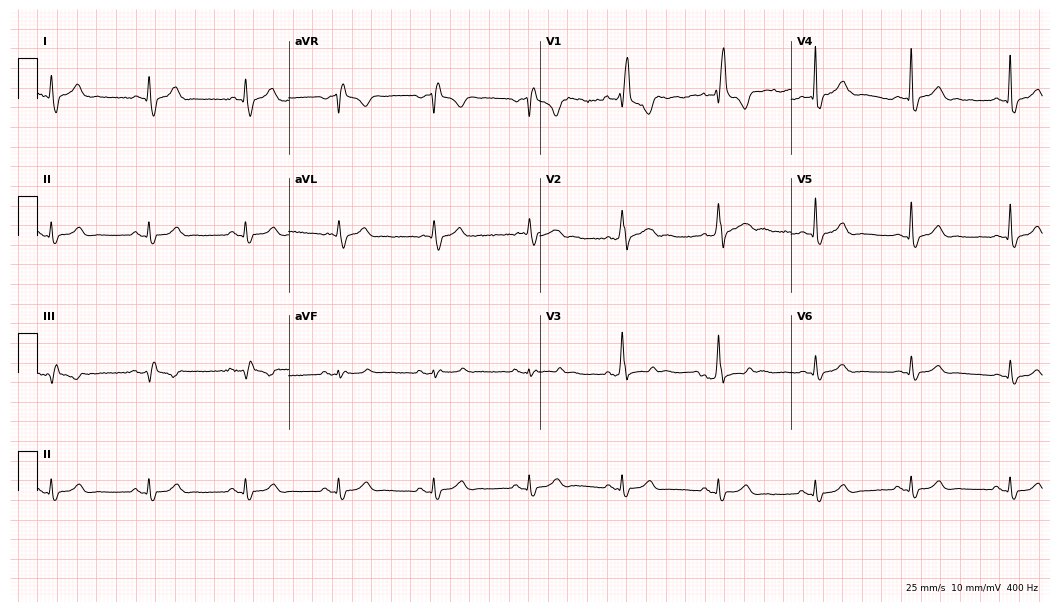
ECG — a male patient, 50 years old. Screened for six findings — first-degree AV block, right bundle branch block (RBBB), left bundle branch block (LBBB), sinus bradycardia, atrial fibrillation (AF), sinus tachycardia — none is recorded. Findings outside these six are not listed.